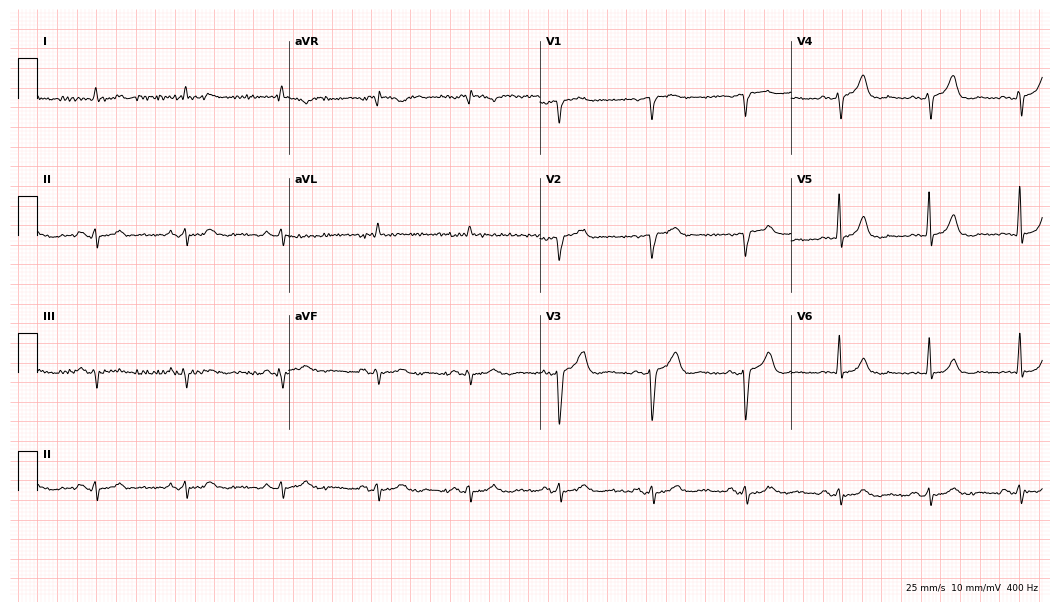
Electrocardiogram, a 75-year-old male patient. Of the six screened findings (first-degree AV block, right bundle branch block (RBBB), left bundle branch block (LBBB), sinus bradycardia, atrial fibrillation (AF), sinus tachycardia), none is recorded. Findings outside these six are not listed.